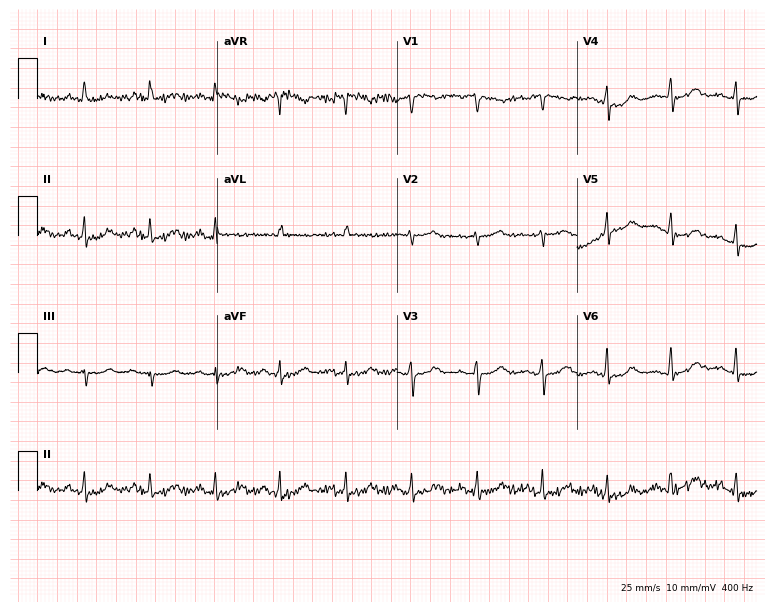
Standard 12-lead ECG recorded from a female patient, 61 years old. Read as a normal ECG.